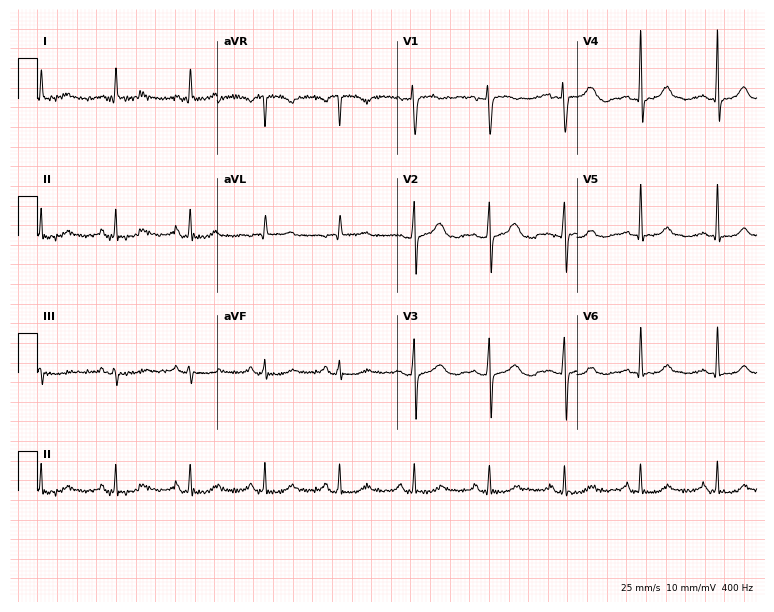
Electrocardiogram, a 53-year-old woman. Overall reading on record: normal ECG.